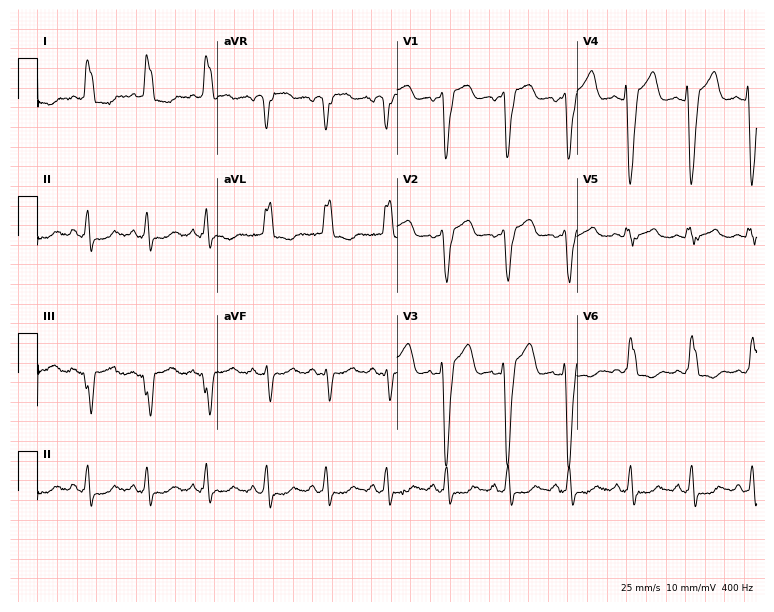
Resting 12-lead electrocardiogram (7.3-second recording at 400 Hz). Patient: a female, 76 years old. The tracing shows left bundle branch block (LBBB).